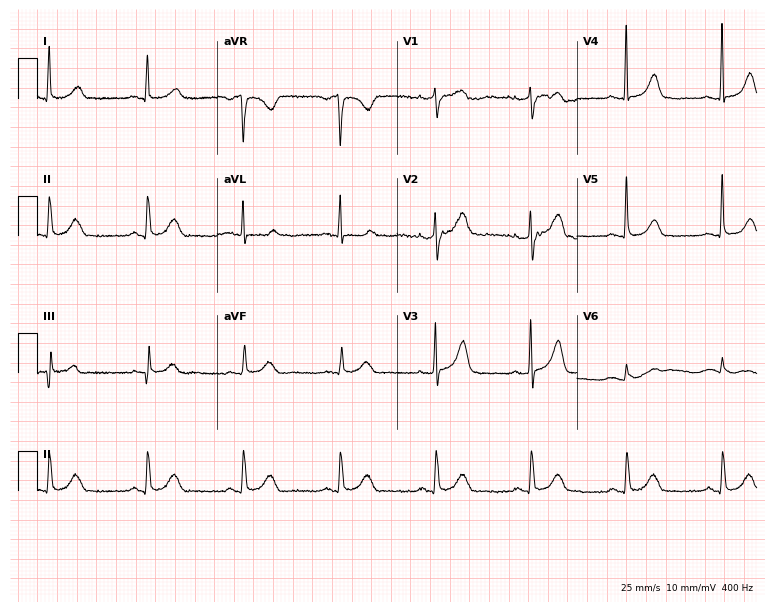
Resting 12-lead electrocardiogram (7.3-second recording at 400 Hz). Patient: a 79-year-old female. Read as a normal ECG.